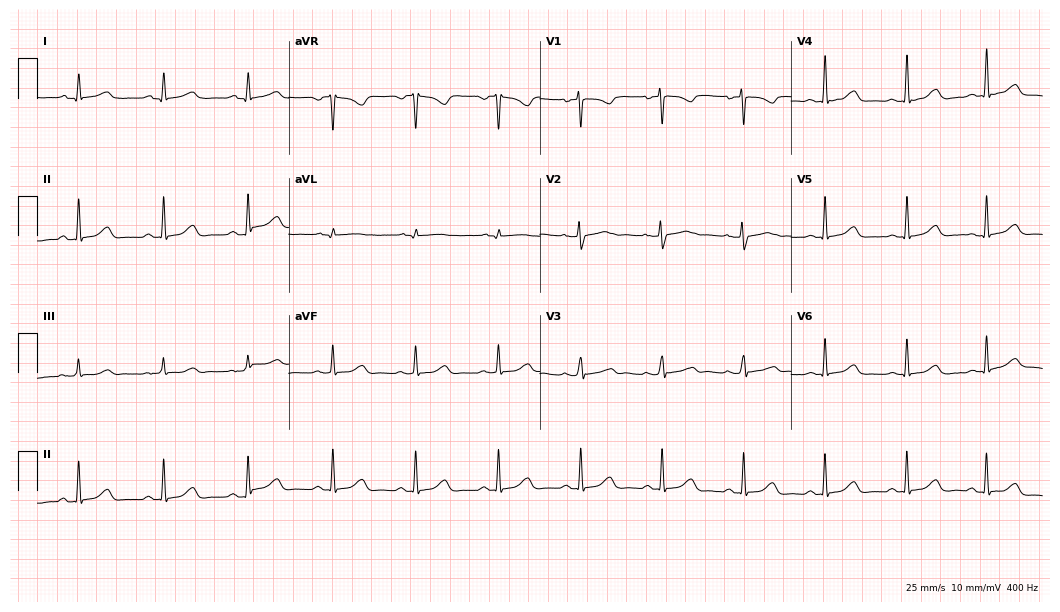
Standard 12-lead ECG recorded from a 34-year-old female (10.2-second recording at 400 Hz). Read as a normal ECG.